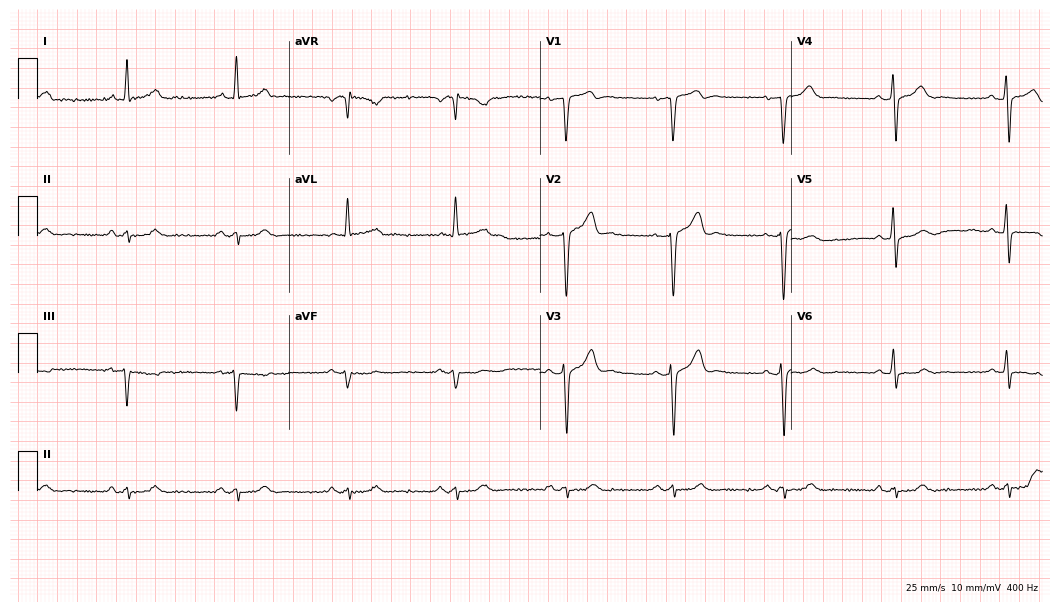
Resting 12-lead electrocardiogram. Patient: a male, 58 years old. None of these six findings is recorded: first-degree AV block, right bundle branch block, left bundle branch block, sinus bradycardia, atrial fibrillation, sinus tachycardia.